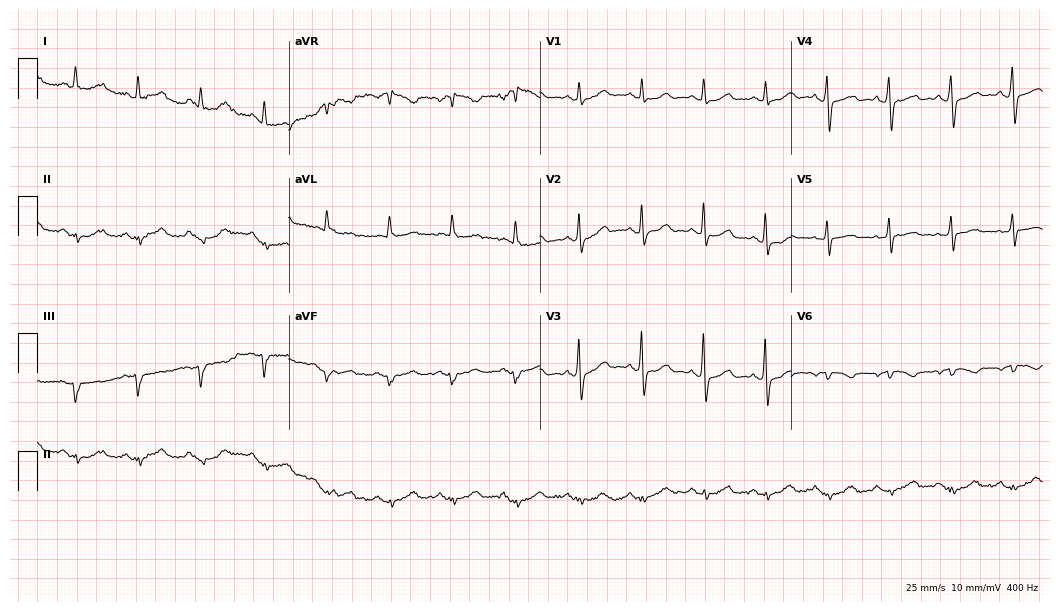
Standard 12-lead ECG recorded from a 74-year-old female patient (10.2-second recording at 400 Hz). None of these six findings is recorded: first-degree AV block, right bundle branch block, left bundle branch block, sinus bradycardia, atrial fibrillation, sinus tachycardia.